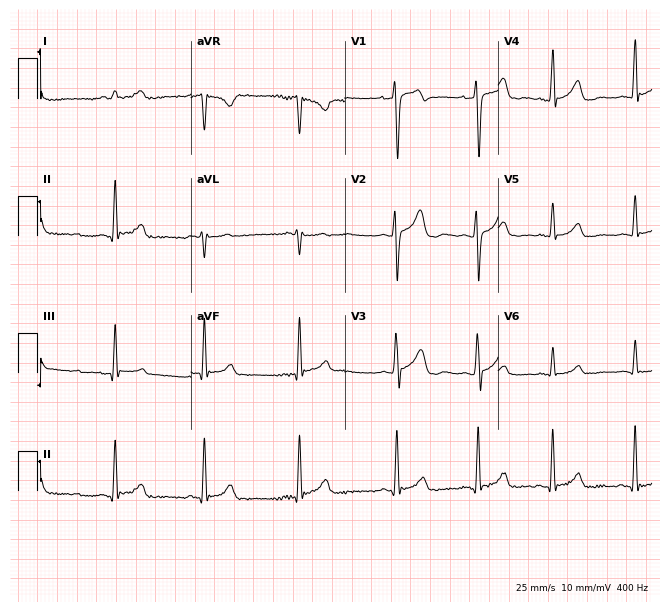
ECG — a 27-year-old male. Labelled as a normal ECG.